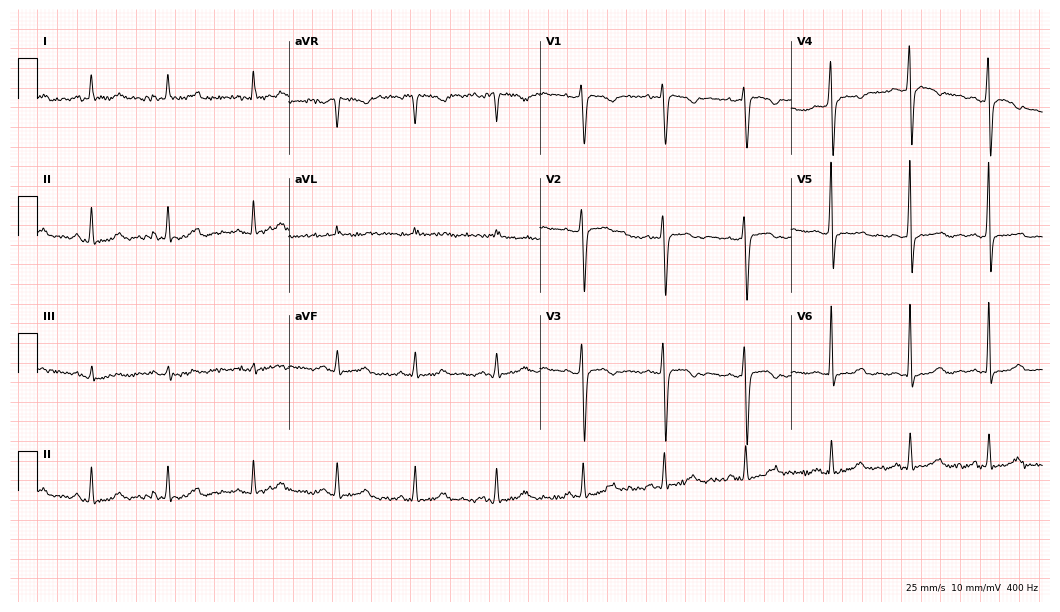
Standard 12-lead ECG recorded from a 35-year-old female patient (10.2-second recording at 400 Hz). None of these six findings is recorded: first-degree AV block, right bundle branch block, left bundle branch block, sinus bradycardia, atrial fibrillation, sinus tachycardia.